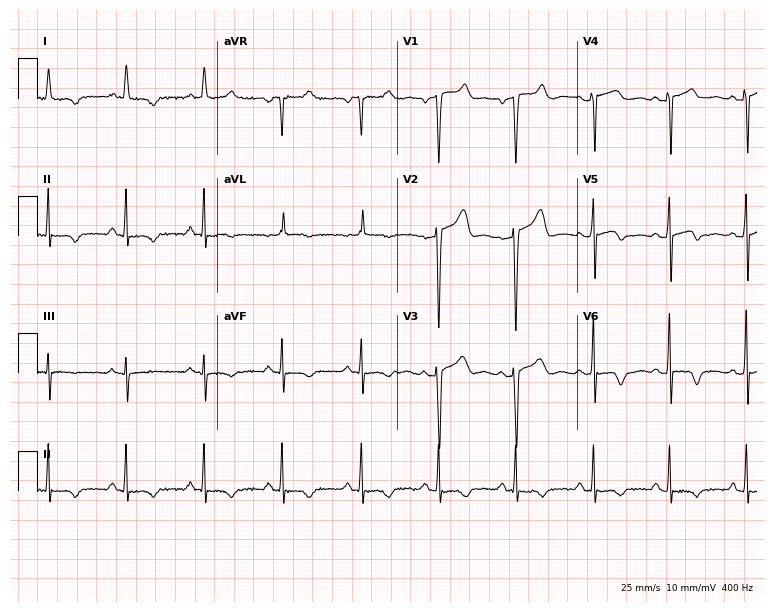
Standard 12-lead ECG recorded from a 50-year-old male patient. Read as a normal ECG.